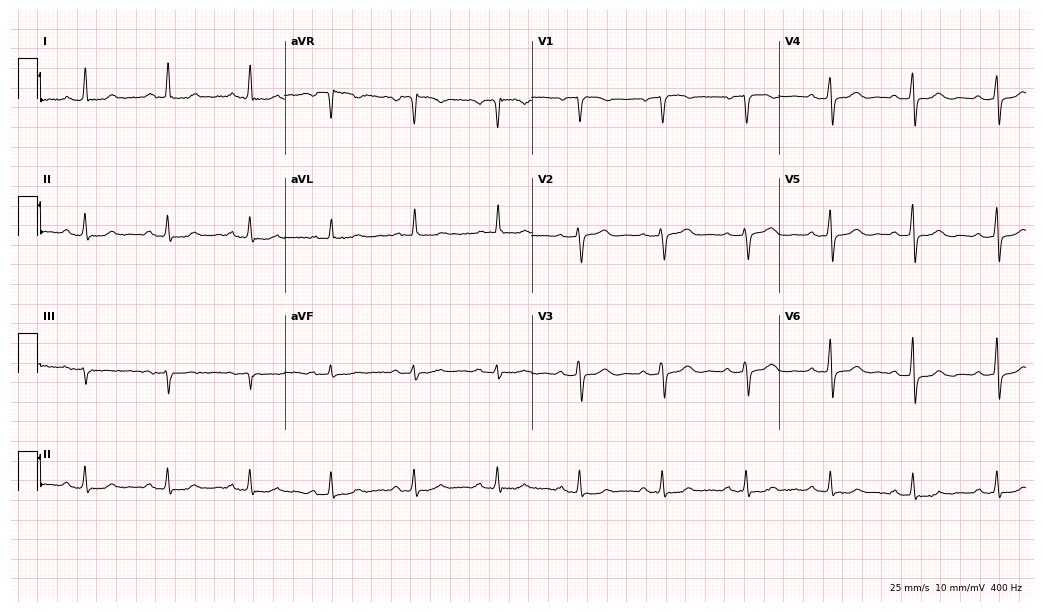
Electrocardiogram (10.1-second recording at 400 Hz), a female, 63 years old. Overall reading on record: normal ECG.